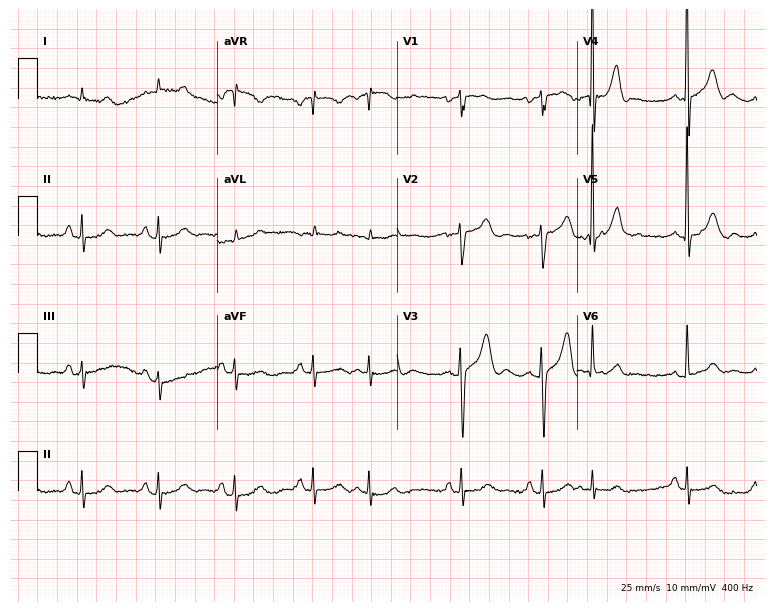
Electrocardiogram (7.3-second recording at 400 Hz), a man, 70 years old. Overall reading on record: normal ECG.